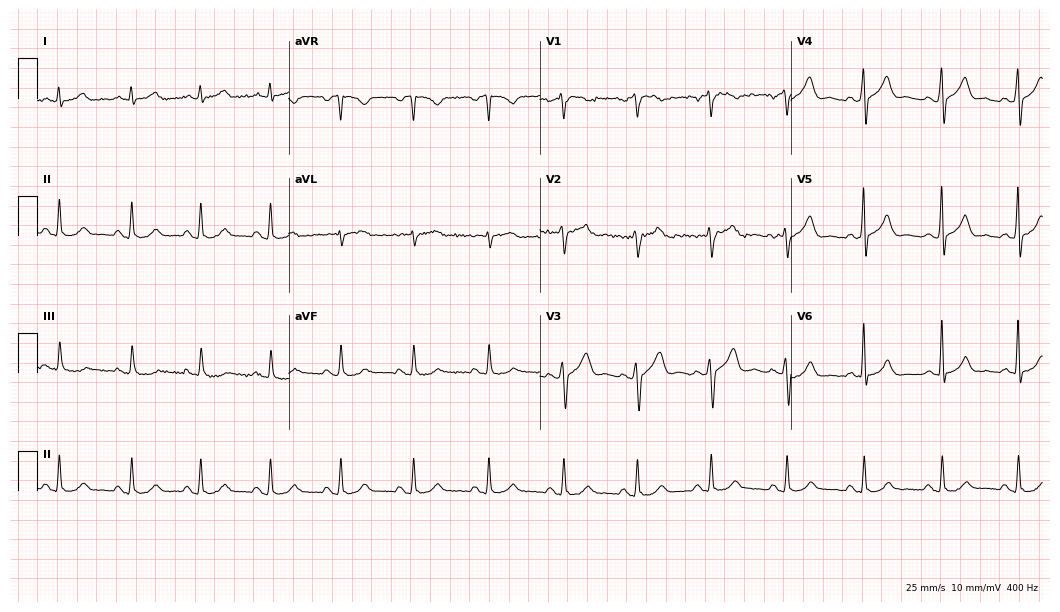
Electrocardiogram, a male, 55 years old. Of the six screened findings (first-degree AV block, right bundle branch block, left bundle branch block, sinus bradycardia, atrial fibrillation, sinus tachycardia), none is recorded. Other findings, if any, are not listed.